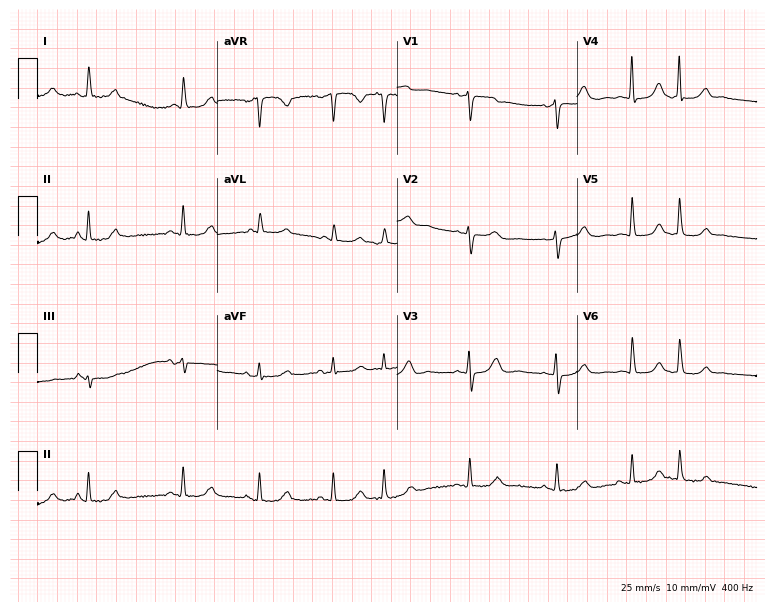
Standard 12-lead ECG recorded from a 70-year-old woman (7.3-second recording at 400 Hz). None of these six findings is recorded: first-degree AV block, right bundle branch block (RBBB), left bundle branch block (LBBB), sinus bradycardia, atrial fibrillation (AF), sinus tachycardia.